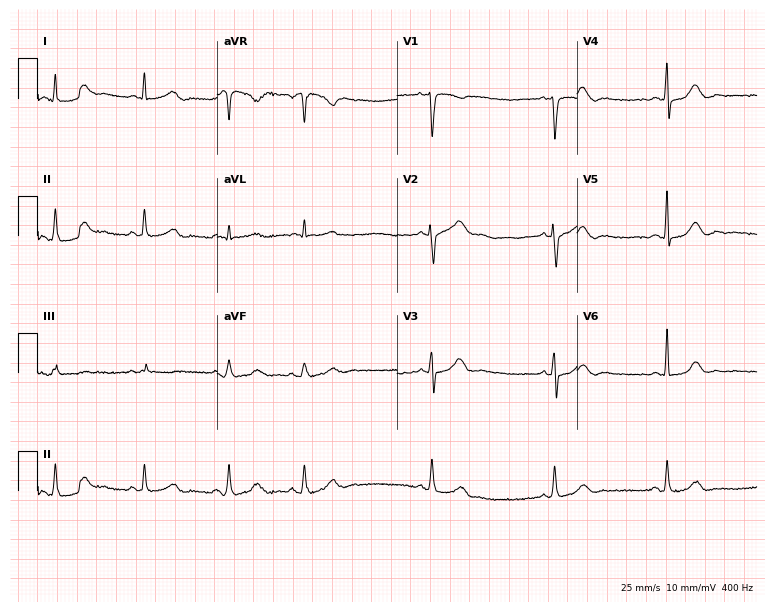
12-lead ECG (7.3-second recording at 400 Hz) from a woman, 32 years old. Labelled as a normal ECG.